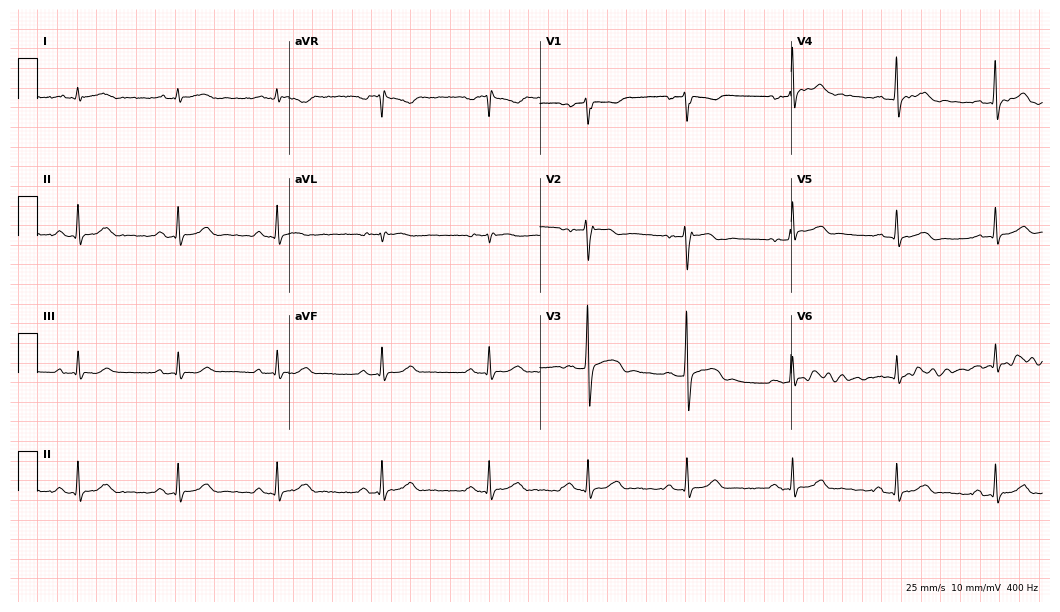
12-lead ECG from a male, 23 years old. Screened for six findings — first-degree AV block, right bundle branch block (RBBB), left bundle branch block (LBBB), sinus bradycardia, atrial fibrillation (AF), sinus tachycardia — none is recorded. Findings outside these six are not listed.